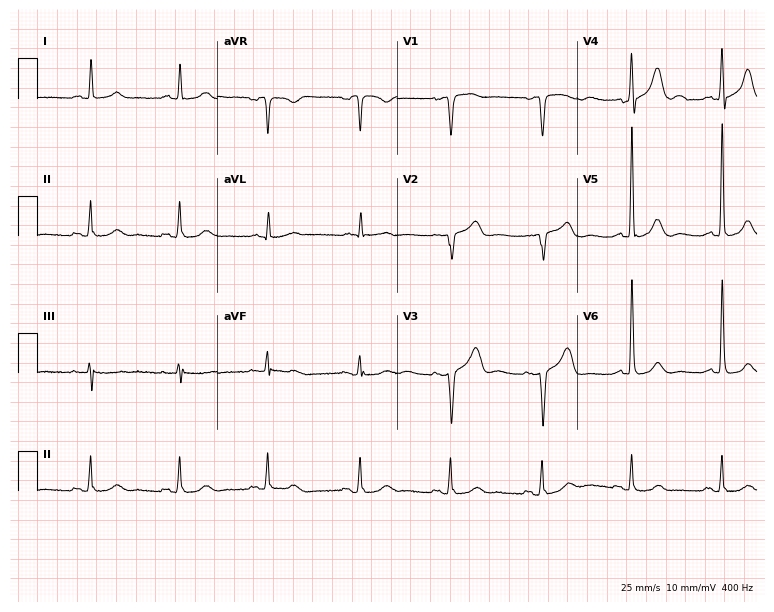
Standard 12-lead ECG recorded from a woman, 78 years old (7.3-second recording at 400 Hz). None of these six findings is recorded: first-degree AV block, right bundle branch block (RBBB), left bundle branch block (LBBB), sinus bradycardia, atrial fibrillation (AF), sinus tachycardia. Only these six findings were labelled.